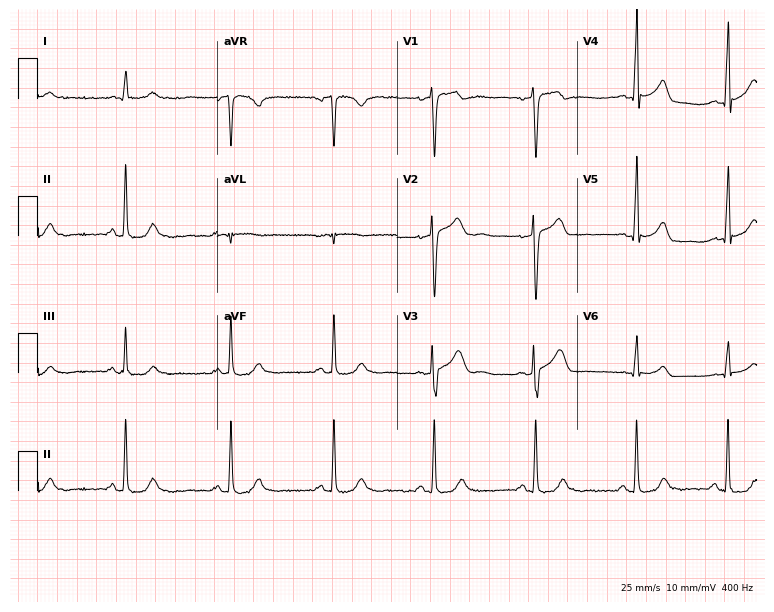
Electrocardiogram, a 54-year-old male. Of the six screened findings (first-degree AV block, right bundle branch block (RBBB), left bundle branch block (LBBB), sinus bradycardia, atrial fibrillation (AF), sinus tachycardia), none is recorded.